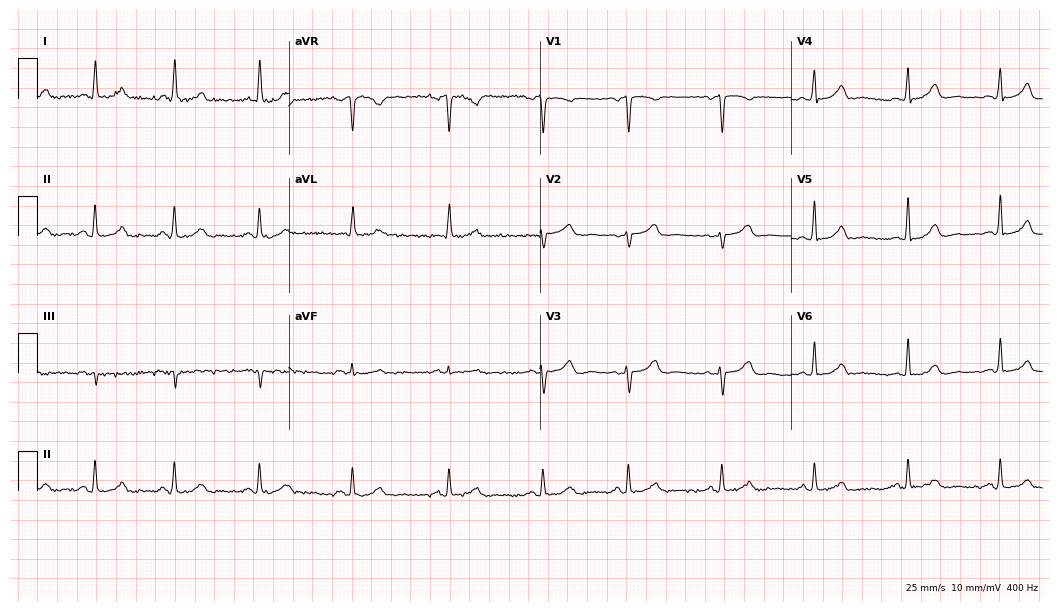
12-lead ECG (10.2-second recording at 400 Hz) from a female, 48 years old. Labelled as a normal ECG.